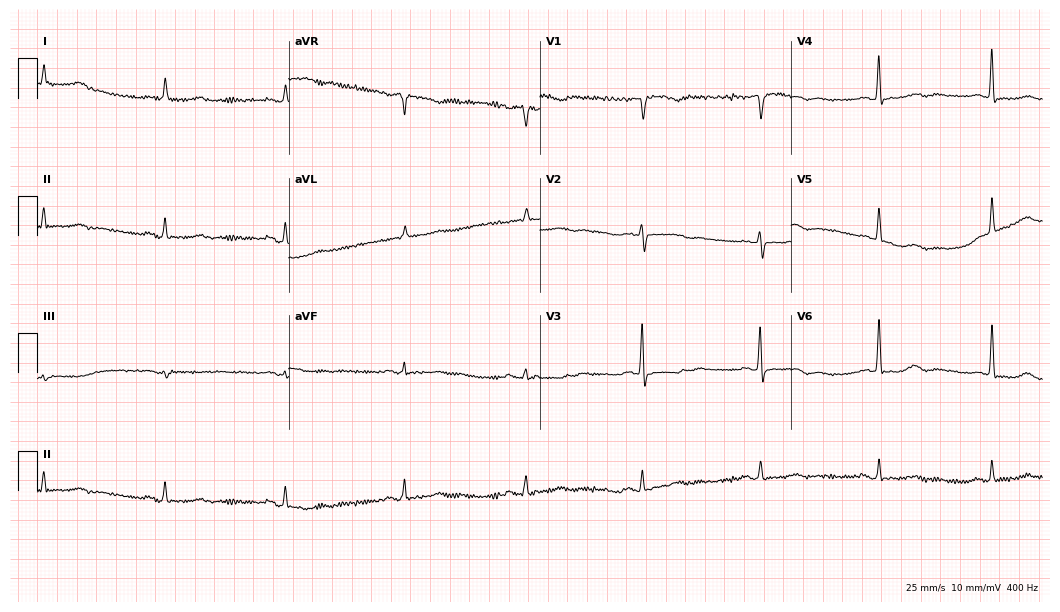
Standard 12-lead ECG recorded from a female, 81 years old. None of these six findings is recorded: first-degree AV block, right bundle branch block, left bundle branch block, sinus bradycardia, atrial fibrillation, sinus tachycardia. Only these six findings were labelled.